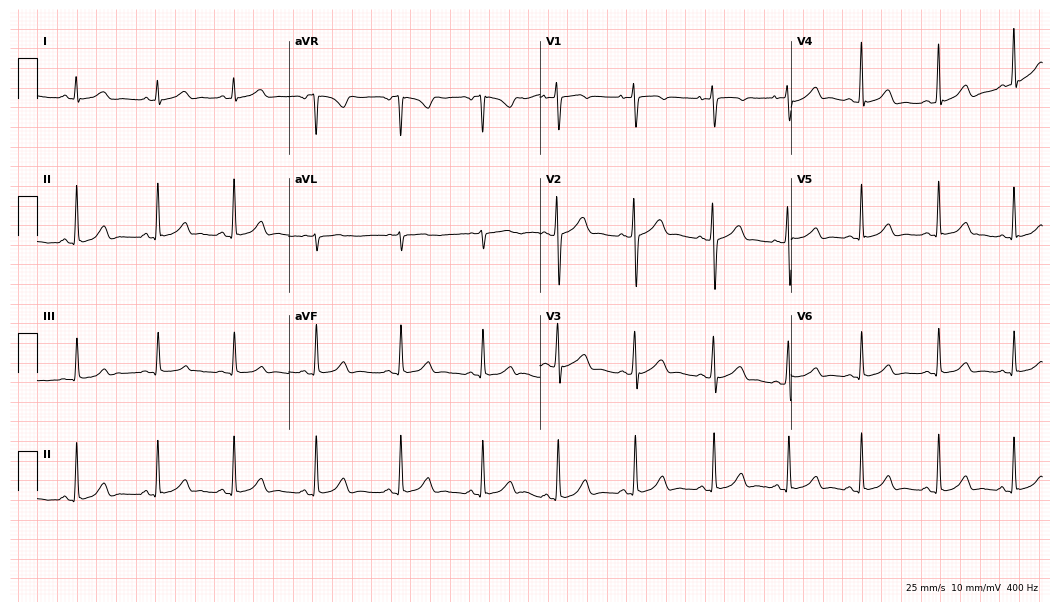
ECG (10.2-second recording at 400 Hz) — a woman, 23 years old. Labelled as a normal ECG.